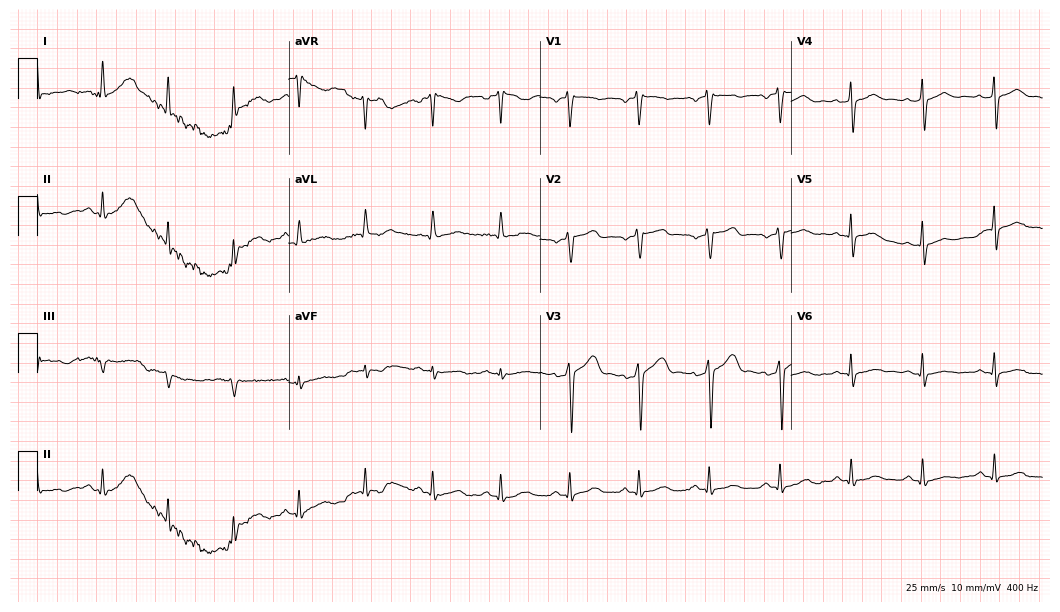
12-lead ECG (10.2-second recording at 400 Hz) from a 60-year-old male. Screened for six findings — first-degree AV block, right bundle branch block, left bundle branch block, sinus bradycardia, atrial fibrillation, sinus tachycardia — none is recorded.